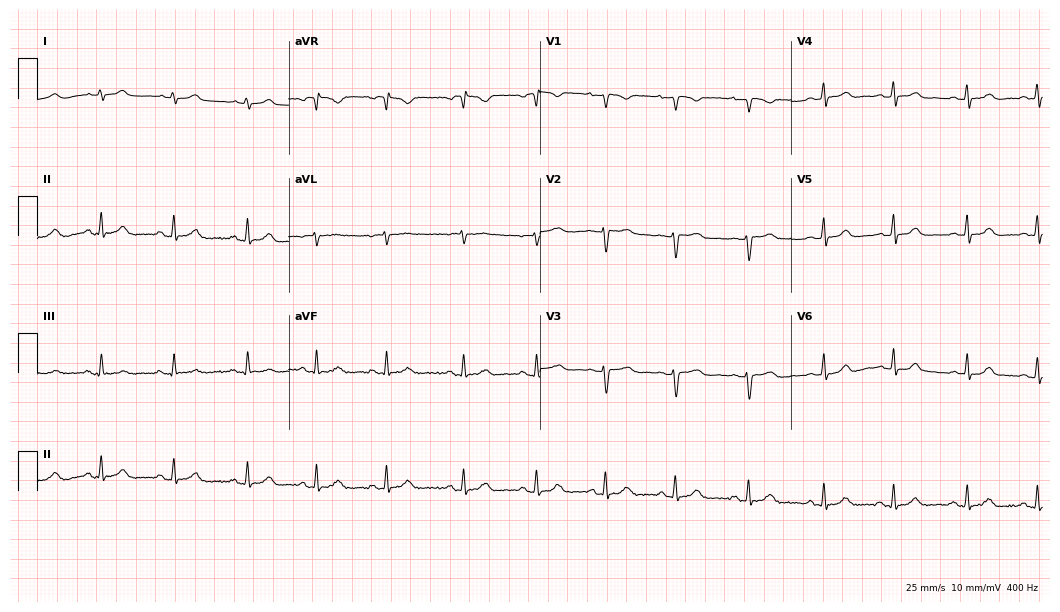
12-lead ECG from a female, 31 years old. Labelled as a normal ECG.